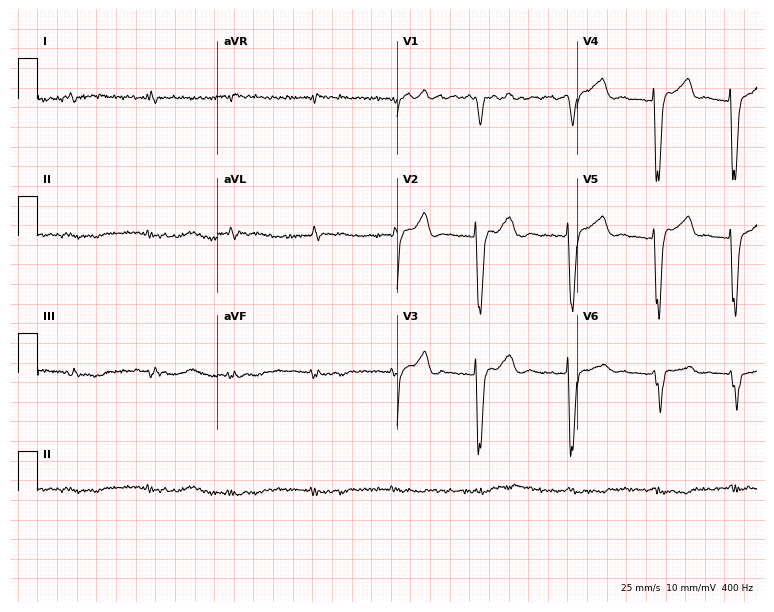
Electrocardiogram, a 74-year-old male patient. Interpretation includes left bundle branch block, atrial fibrillation.